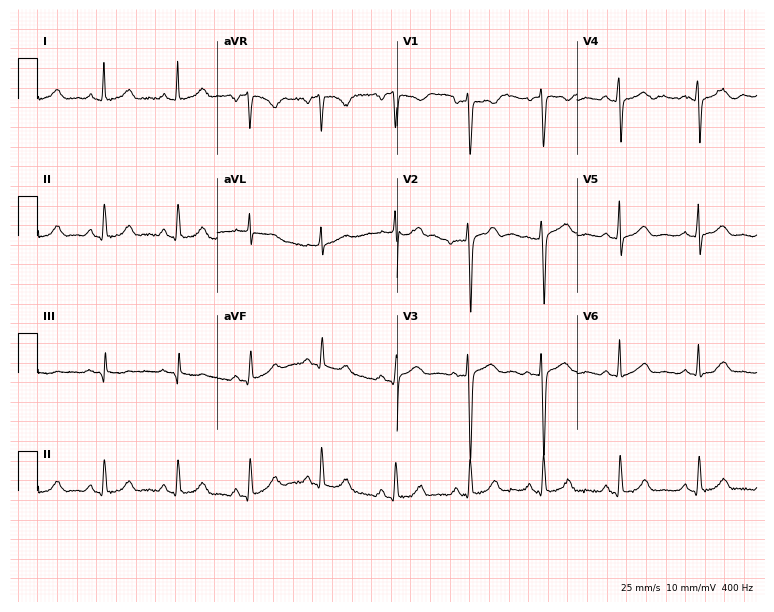
12-lead ECG from a 46-year-old female (7.3-second recording at 400 Hz). Recorded interpretation: within normal limits.